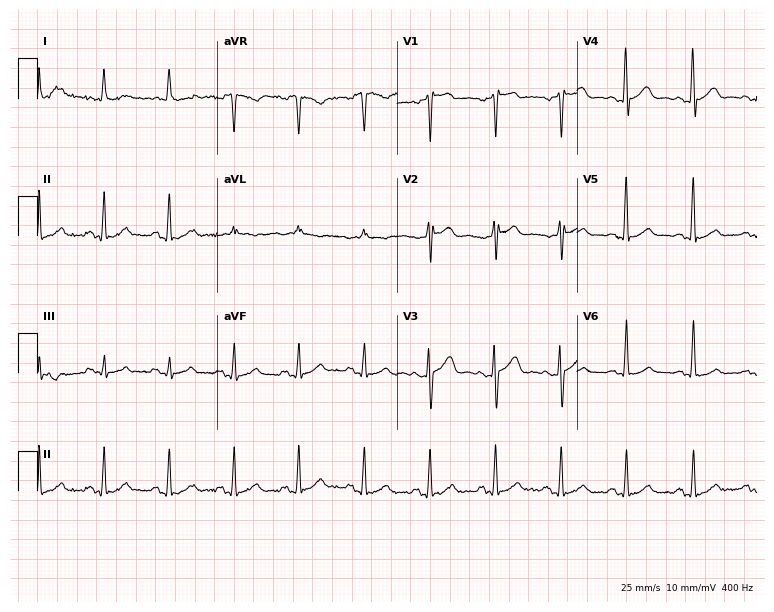
12-lead ECG from a 65-year-old male patient. No first-degree AV block, right bundle branch block, left bundle branch block, sinus bradycardia, atrial fibrillation or sinus tachycardia recorded for this tracing.